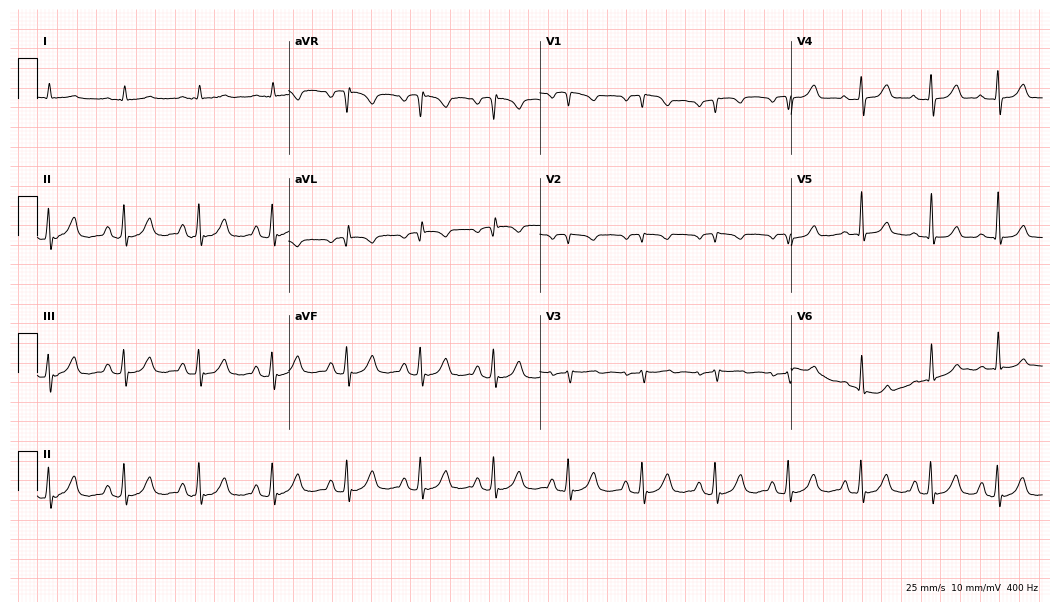
Resting 12-lead electrocardiogram (10.2-second recording at 400 Hz). Patient: a male, 80 years old. None of these six findings is recorded: first-degree AV block, right bundle branch block, left bundle branch block, sinus bradycardia, atrial fibrillation, sinus tachycardia. Only these six findings were labelled.